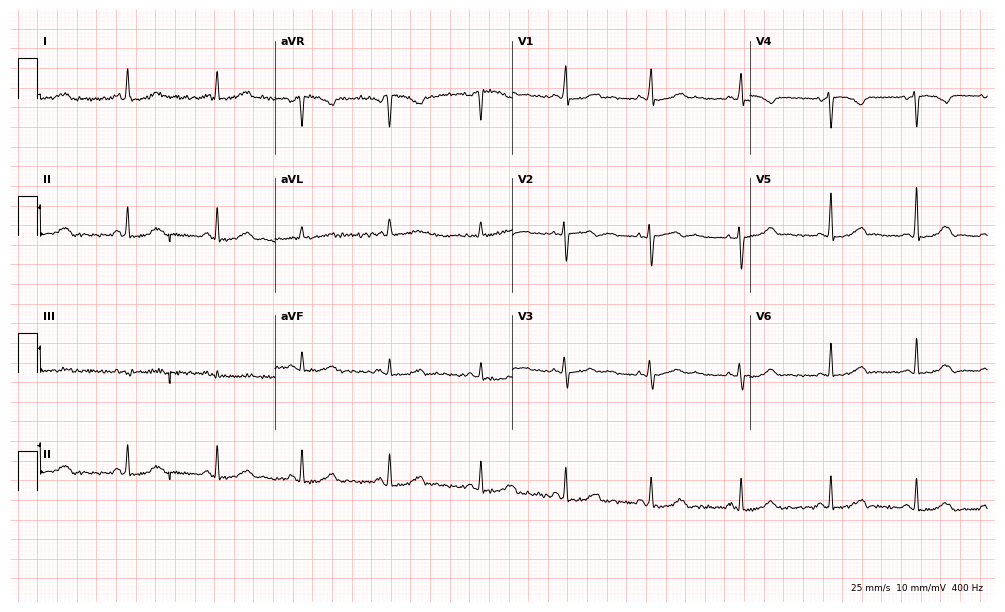
Resting 12-lead electrocardiogram (9.7-second recording at 400 Hz). Patient: a woman, 41 years old. Read as a normal ECG.